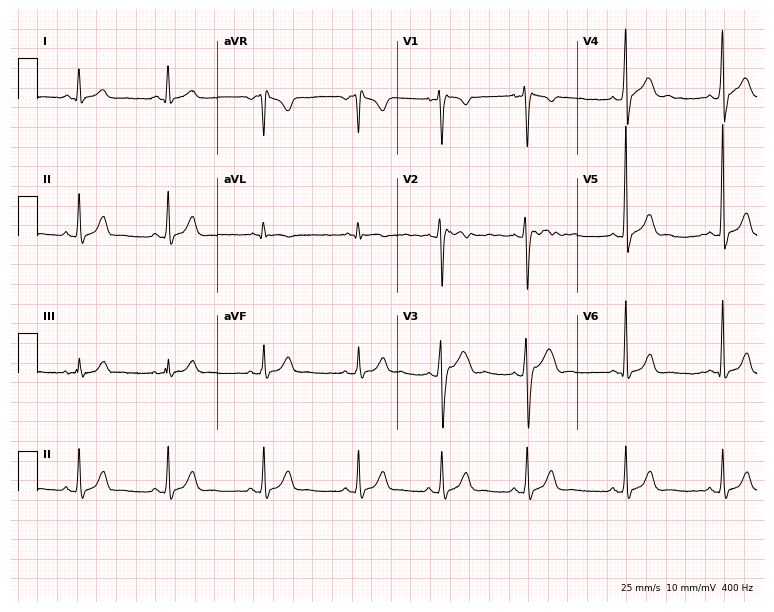
12-lead ECG from a male patient, 17 years old (7.3-second recording at 400 Hz). Recorded interpretation: within normal limits.